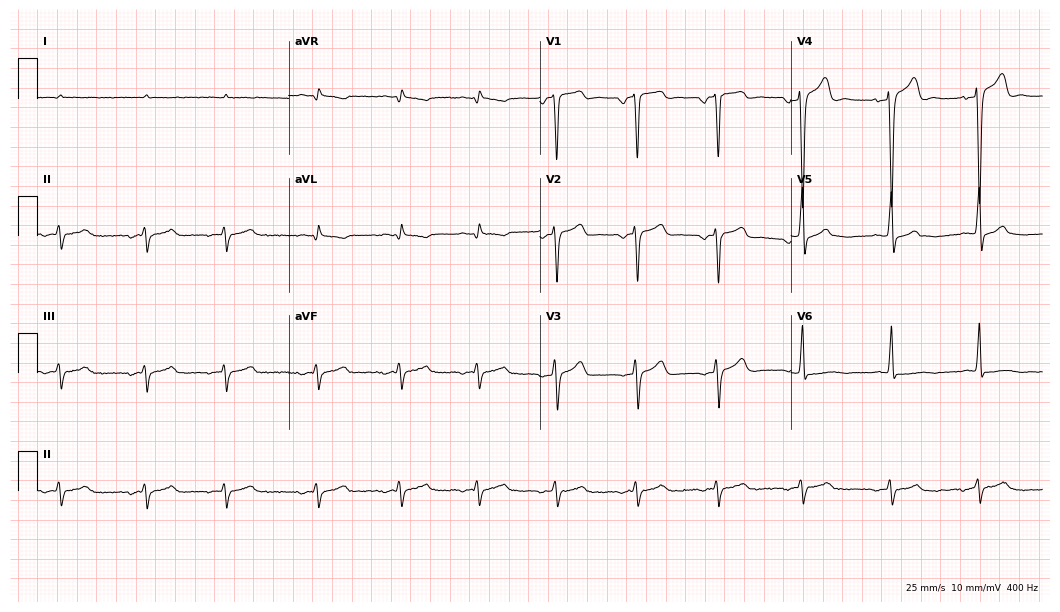
ECG — a 64-year-old male. Screened for six findings — first-degree AV block, right bundle branch block, left bundle branch block, sinus bradycardia, atrial fibrillation, sinus tachycardia — none is recorded. Findings outside these six are not listed.